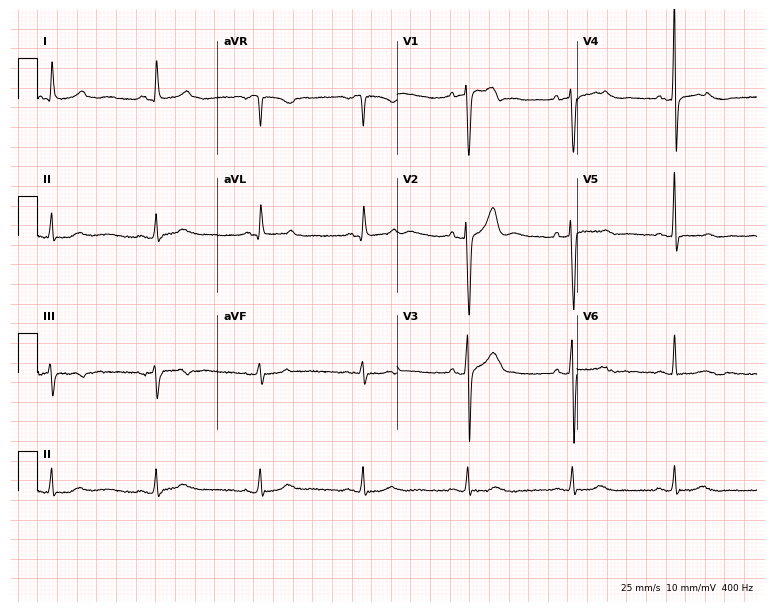
Standard 12-lead ECG recorded from a male, 80 years old. None of these six findings is recorded: first-degree AV block, right bundle branch block (RBBB), left bundle branch block (LBBB), sinus bradycardia, atrial fibrillation (AF), sinus tachycardia.